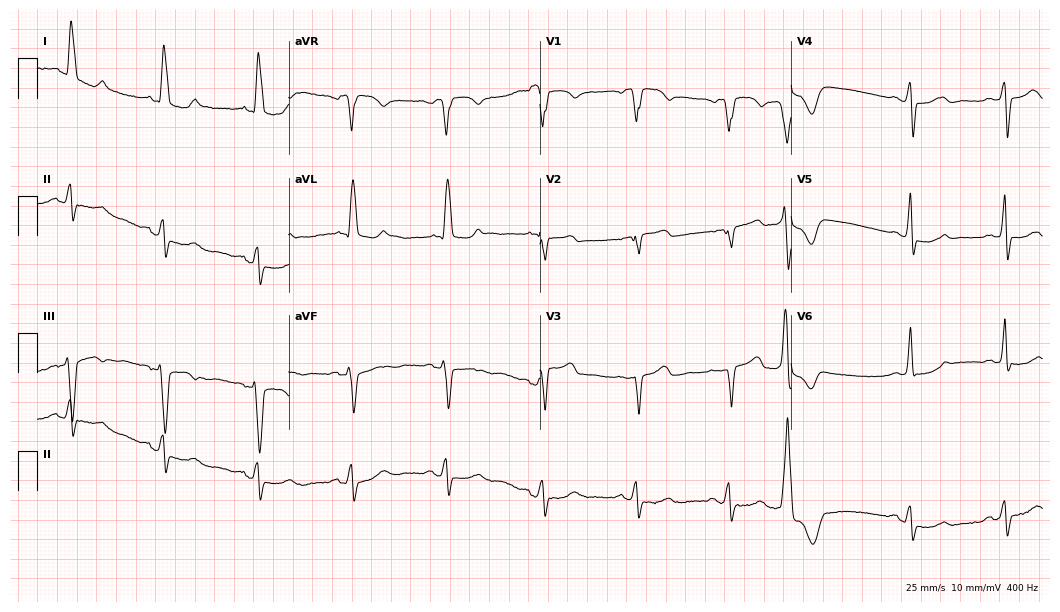
Electrocardiogram, a 79-year-old female. Interpretation includes left bundle branch block.